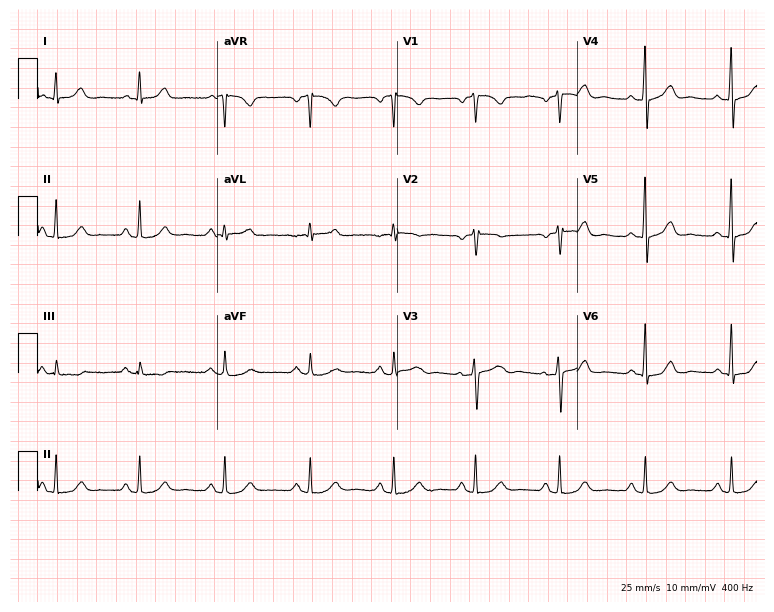
Resting 12-lead electrocardiogram (7.3-second recording at 400 Hz). Patient: a 72-year-old woman. Read as a normal ECG.